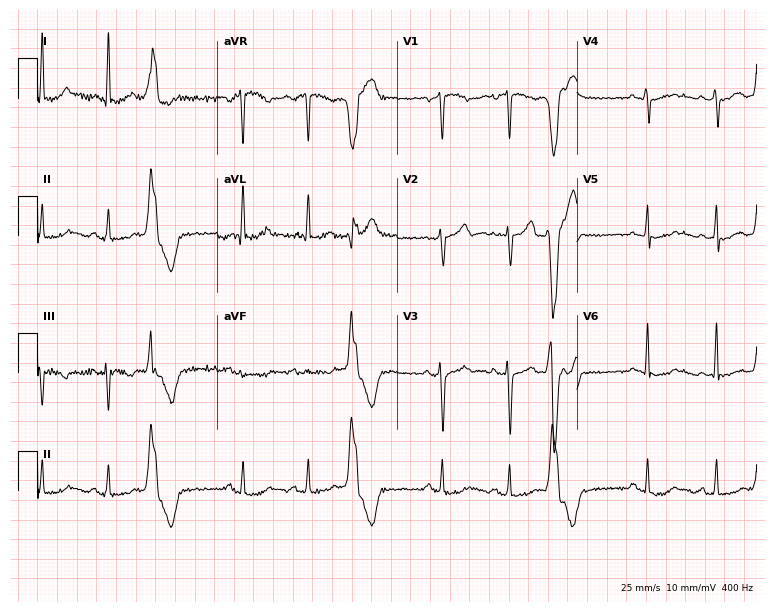
Electrocardiogram (7.3-second recording at 400 Hz), a female, 70 years old. Of the six screened findings (first-degree AV block, right bundle branch block, left bundle branch block, sinus bradycardia, atrial fibrillation, sinus tachycardia), none is recorded.